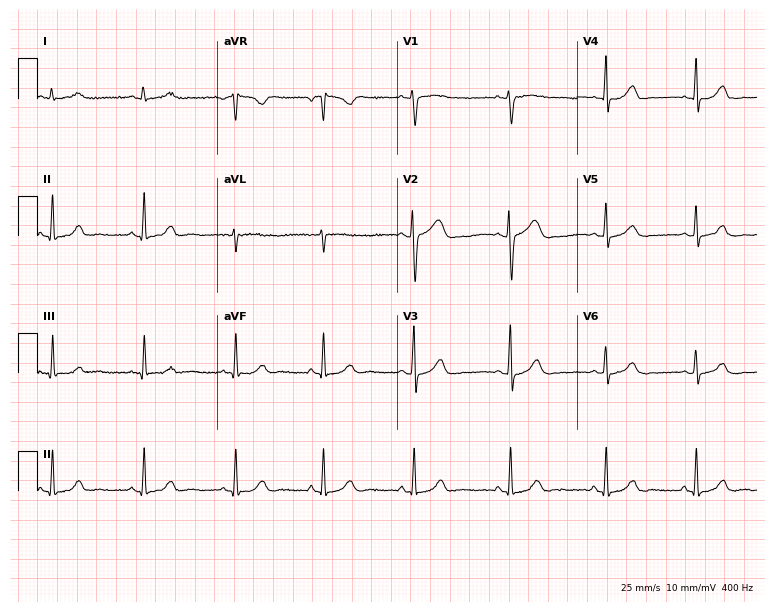
Electrocardiogram (7.3-second recording at 400 Hz), a 37-year-old woman. Overall reading on record: normal ECG.